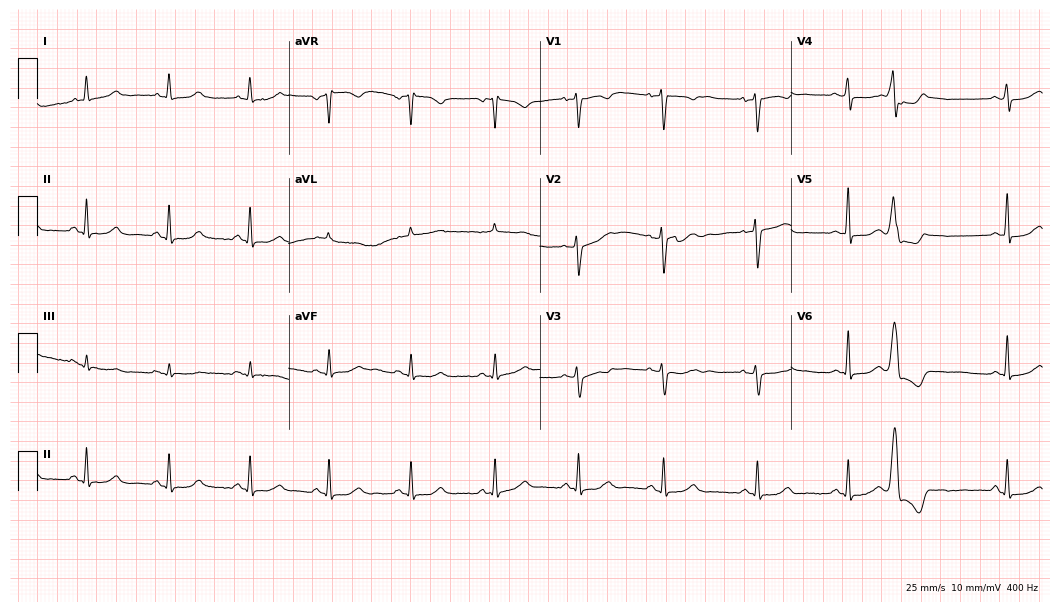
Standard 12-lead ECG recorded from a female, 51 years old (10.2-second recording at 400 Hz). None of these six findings is recorded: first-degree AV block, right bundle branch block (RBBB), left bundle branch block (LBBB), sinus bradycardia, atrial fibrillation (AF), sinus tachycardia.